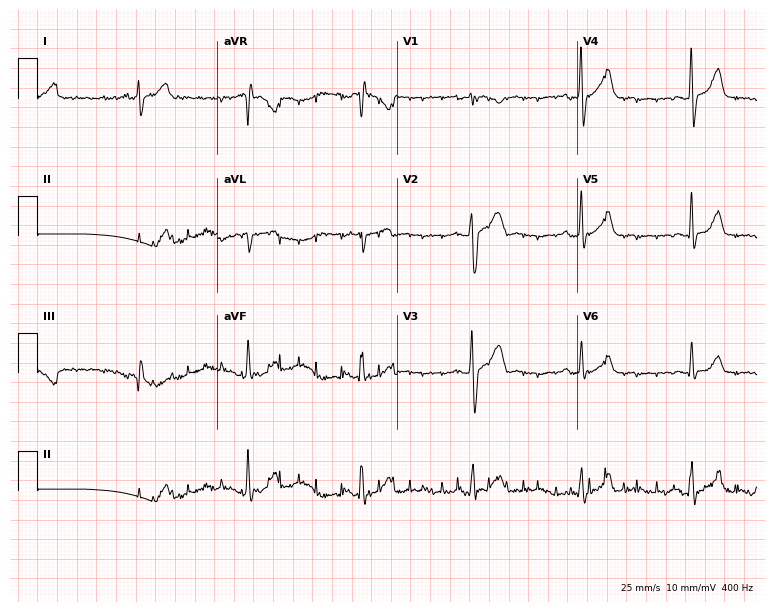
Resting 12-lead electrocardiogram (7.3-second recording at 400 Hz). Patient: a 23-year-old male. None of these six findings is recorded: first-degree AV block, right bundle branch block, left bundle branch block, sinus bradycardia, atrial fibrillation, sinus tachycardia.